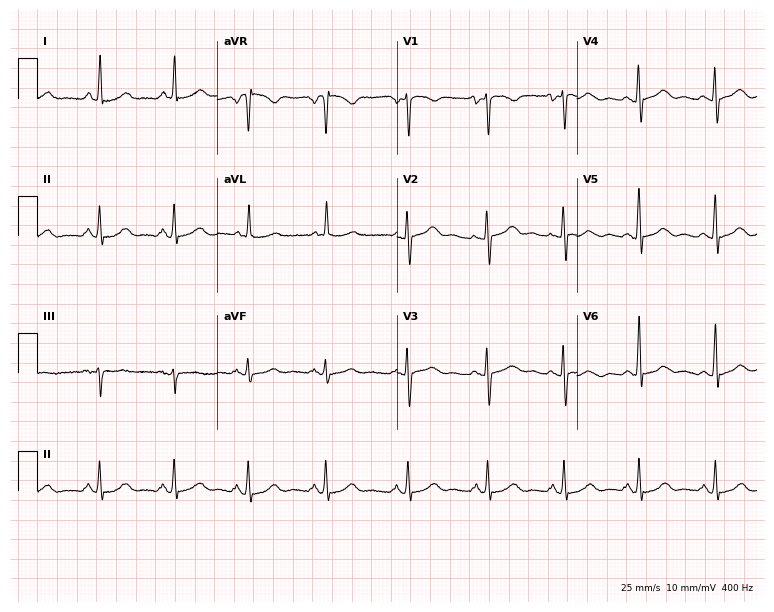
Standard 12-lead ECG recorded from a 45-year-old female patient. Read as a normal ECG.